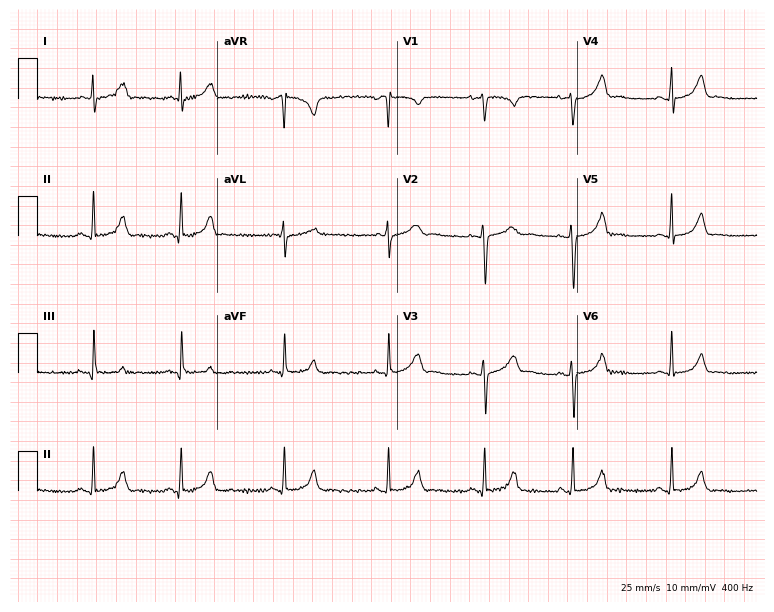
Electrocardiogram (7.3-second recording at 400 Hz), a woman, 29 years old. Overall reading on record: normal ECG.